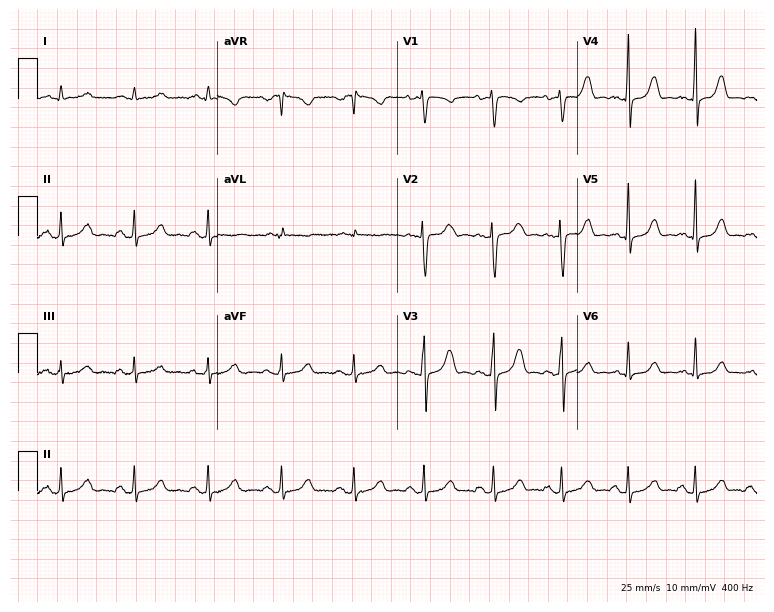
Resting 12-lead electrocardiogram. Patient: a 41-year-old female. Read as a normal ECG.